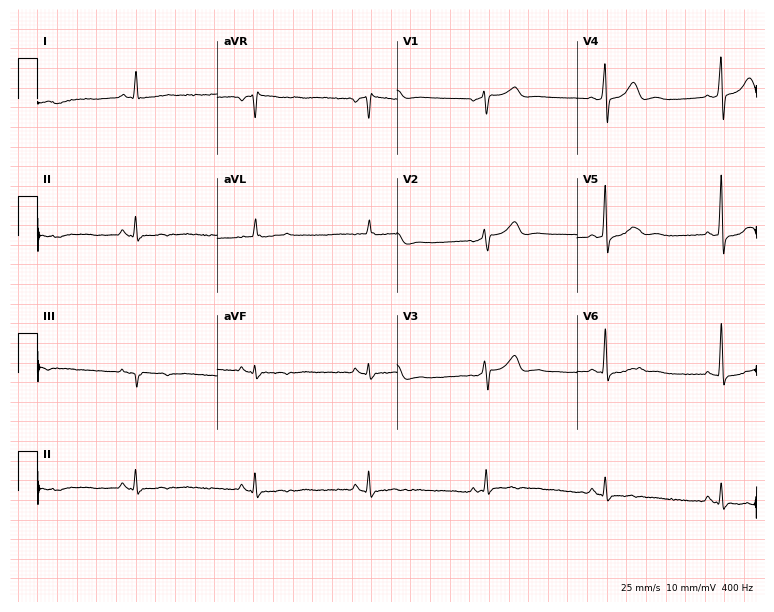
12-lead ECG (7.3-second recording at 400 Hz) from a male, 57 years old. Screened for six findings — first-degree AV block, right bundle branch block, left bundle branch block, sinus bradycardia, atrial fibrillation, sinus tachycardia — none is recorded. Only these six findings were labelled.